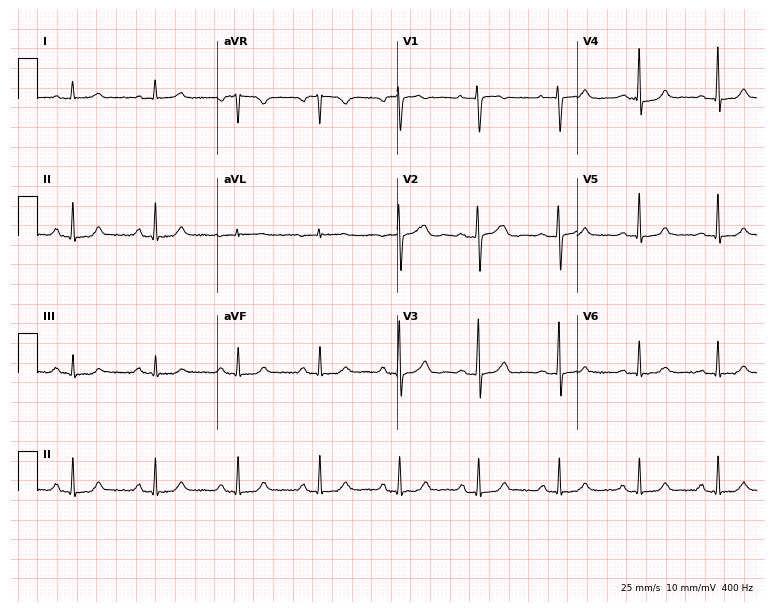
ECG — a 52-year-old female patient. Labelled as a normal ECG.